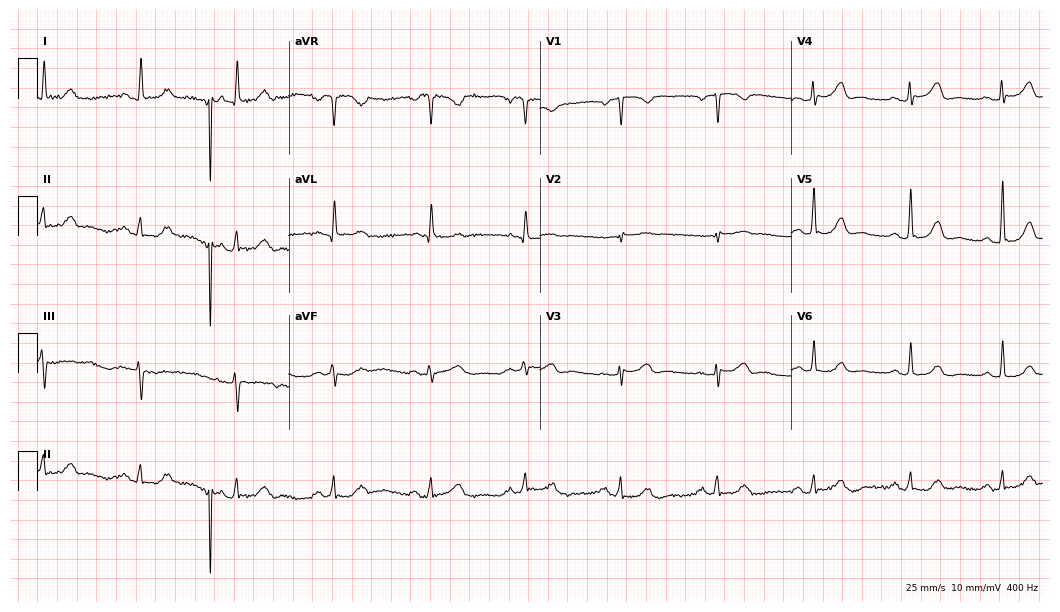
Electrocardiogram (10.2-second recording at 400 Hz), a female, 54 years old. Of the six screened findings (first-degree AV block, right bundle branch block (RBBB), left bundle branch block (LBBB), sinus bradycardia, atrial fibrillation (AF), sinus tachycardia), none is recorded.